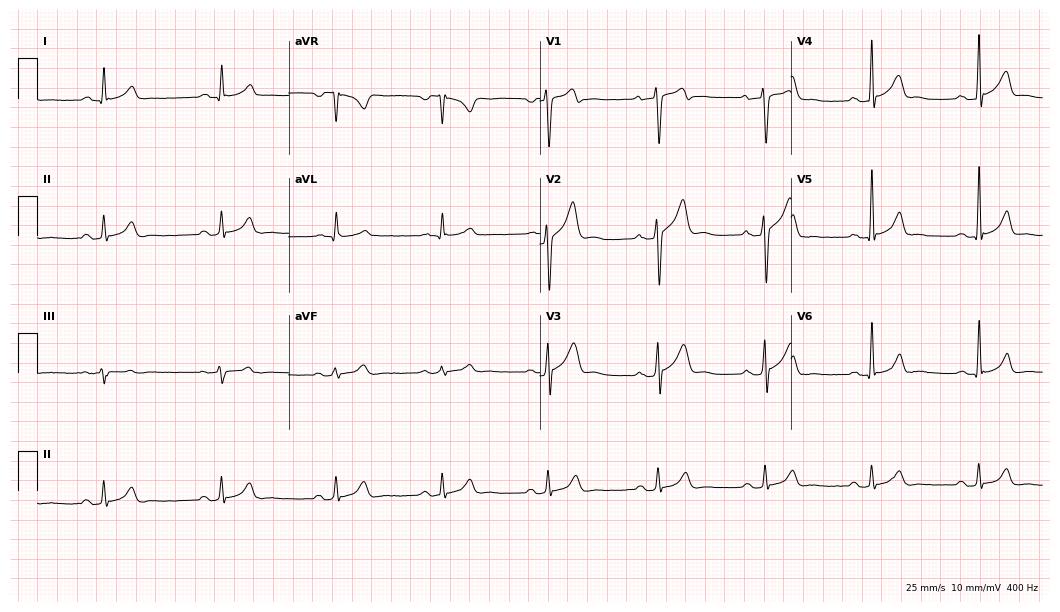
12-lead ECG from a 31-year-old man. Screened for six findings — first-degree AV block, right bundle branch block (RBBB), left bundle branch block (LBBB), sinus bradycardia, atrial fibrillation (AF), sinus tachycardia — none is recorded.